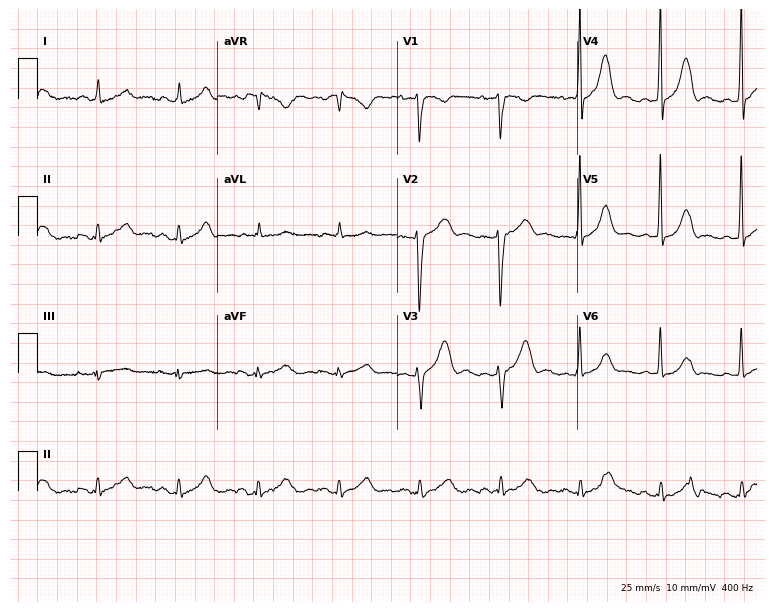
Electrocardiogram (7.3-second recording at 400 Hz), a 56-year-old male. Overall reading on record: normal ECG.